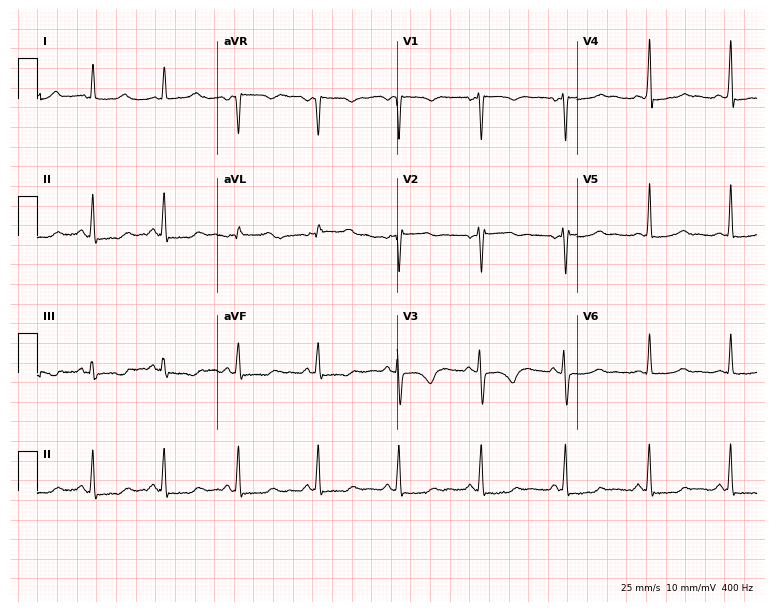
12-lead ECG from a 30-year-old woman. No first-degree AV block, right bundle branch block (RBBB), left bundle branch block (LBBB), sinus bradycardia, atrial fibrillation (AF) or sinus tachycardia recorded for this tracing.